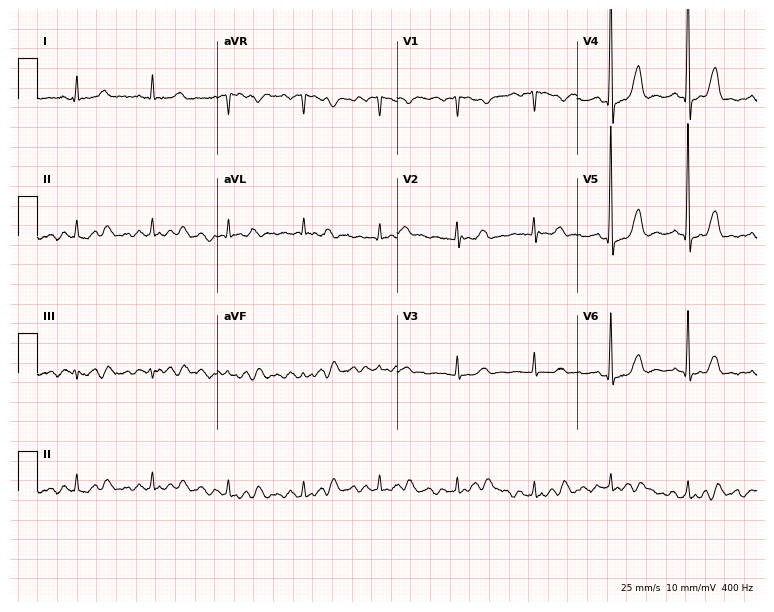
Standard 12-lead ECG recorded from a man, 66 years old. Read as a normal ECG.